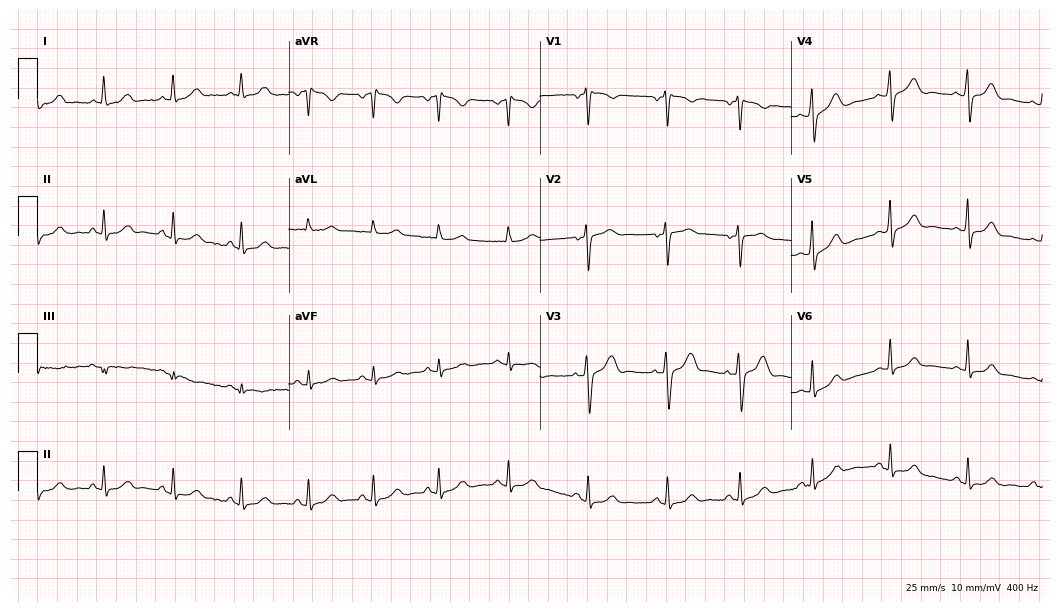
Electrocardiogram, a 48-year-old female. Overall reading on record: normal ECG.